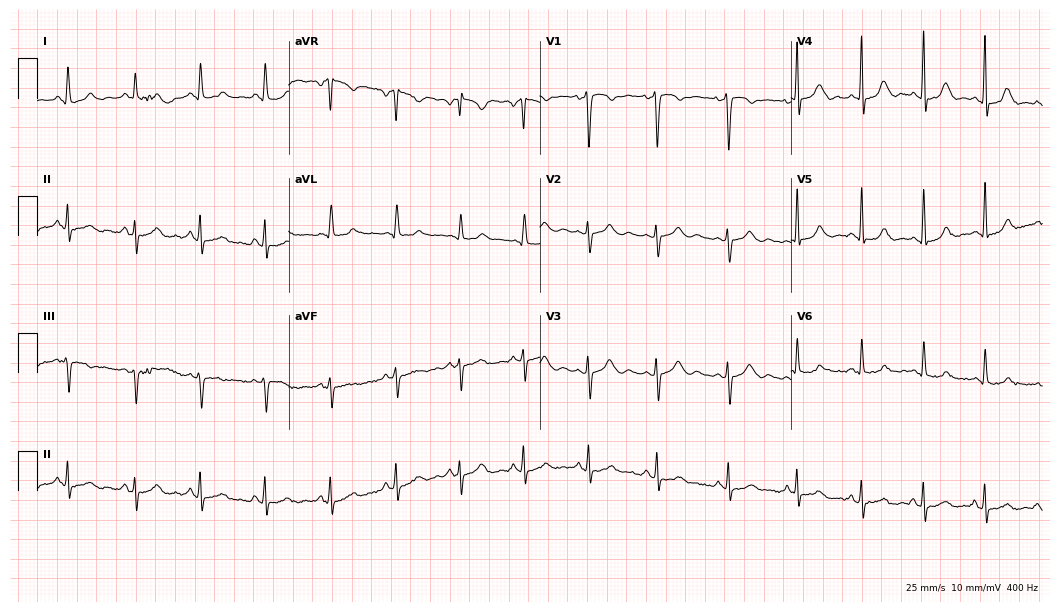
12-lead ECG from a female, 24 years old. Recorded interpretation: within normal limits.